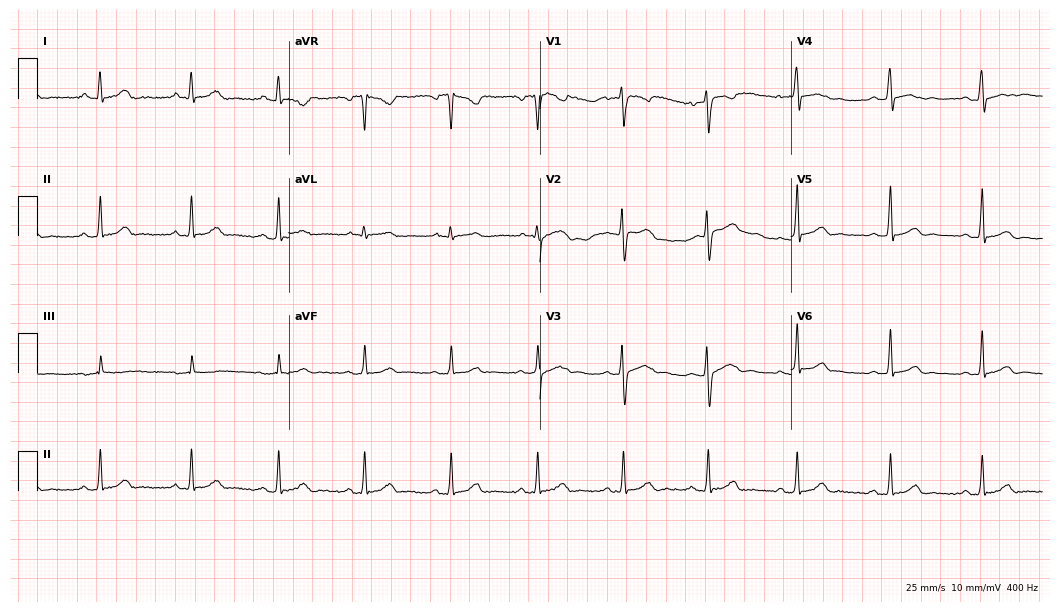
12-lead ECG from a female patient, 28 years old. Recorded interpretation: within normal limits.